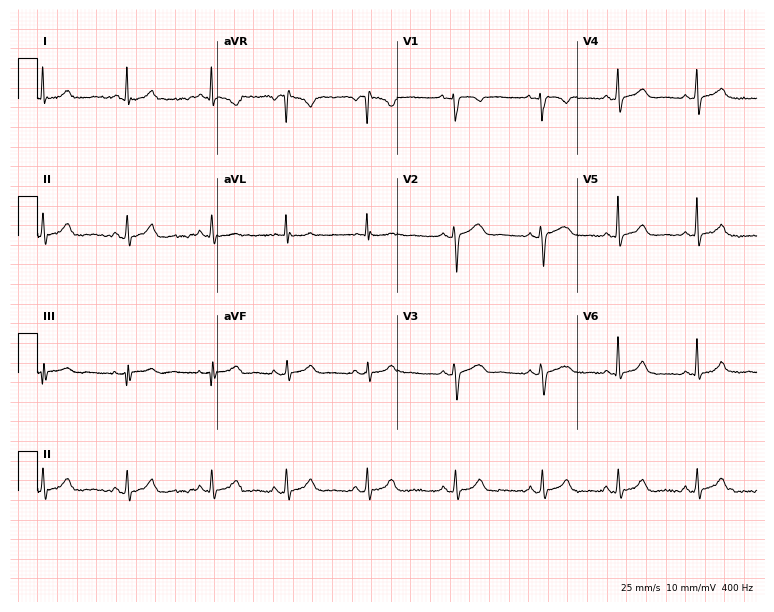
Standard 12-lead ECG recorded from a 34-year-old female (7.3-second recording at 400 Hz). Read as a normal ECG.